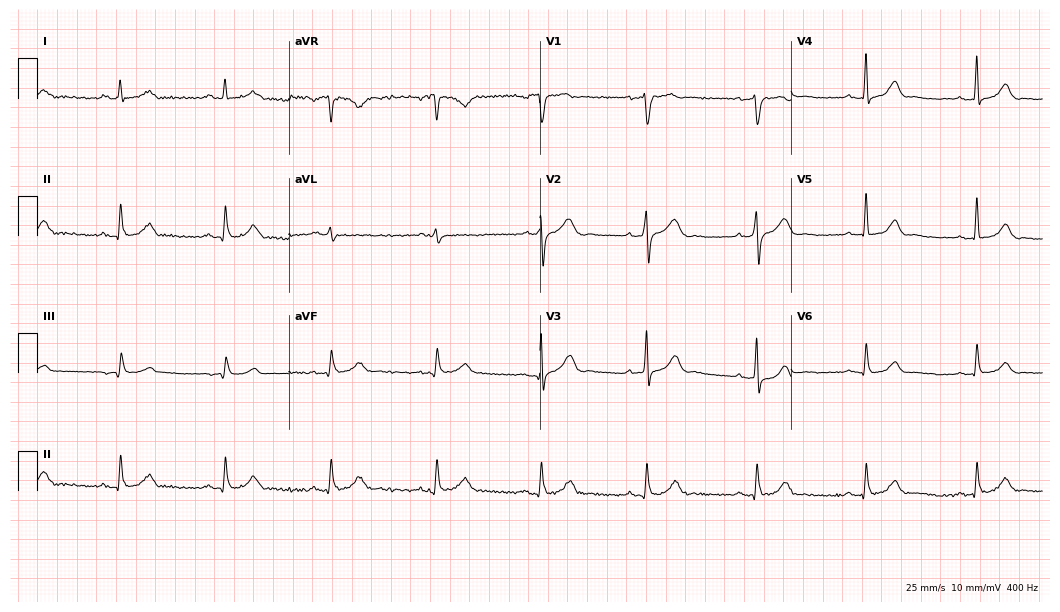
Standard 12-lead ECG recorded from a male, 58 years old (10.2-second recording at 400 Hz). Read as a normal ECG.